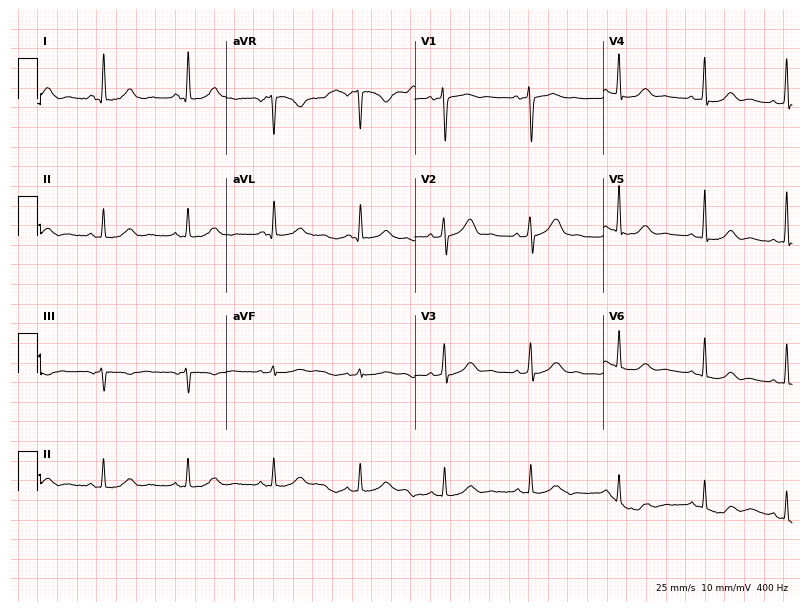
ECG — a female, 48 years old. Labelled as a normal ECG.